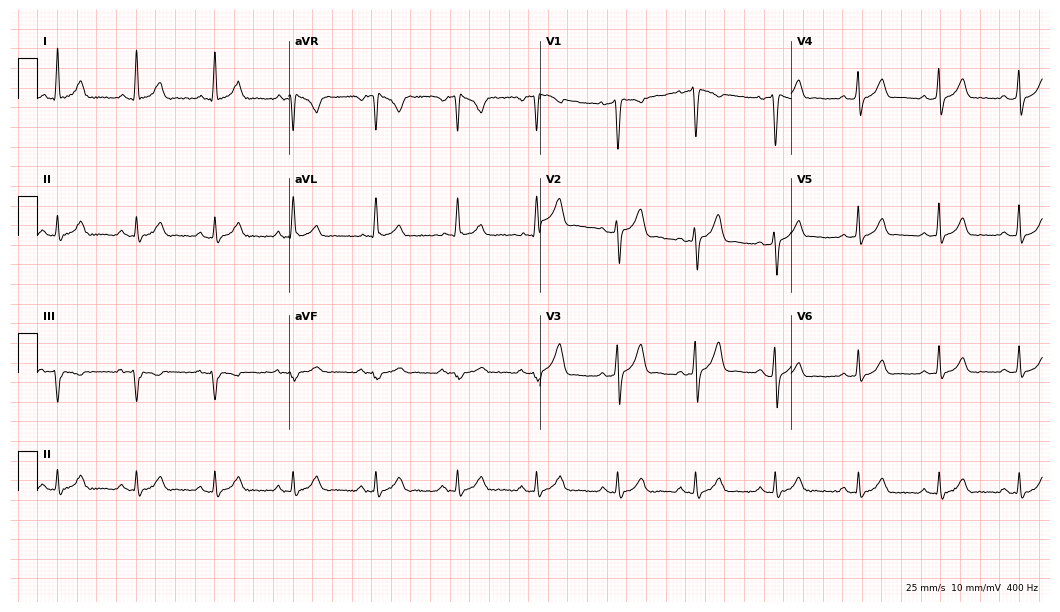
Resting 12-lead electrocardiogram (10.2-second recording at 400 Hz). Patient: a woman, 36 years old. Read as a normal ECG.